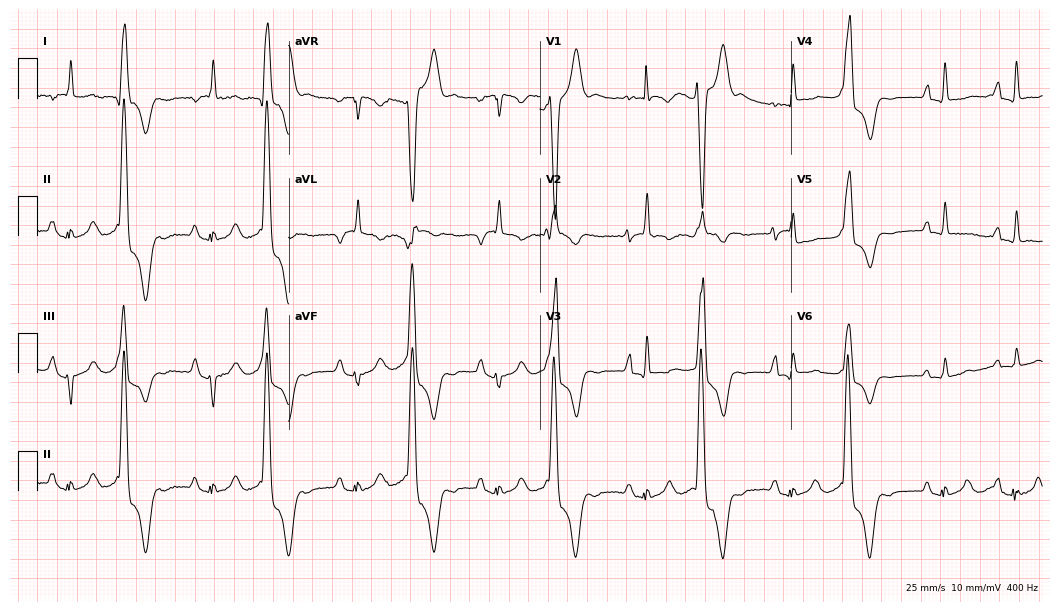
Resting 12-lead electrocardiogram. Patient: a female, 21 years old. None of these six findings is recorded: first-degree AV block, right bundle branch block, left bundle branch block, sinus bradycardia, atrial fibrillation, sinus tachycardia.